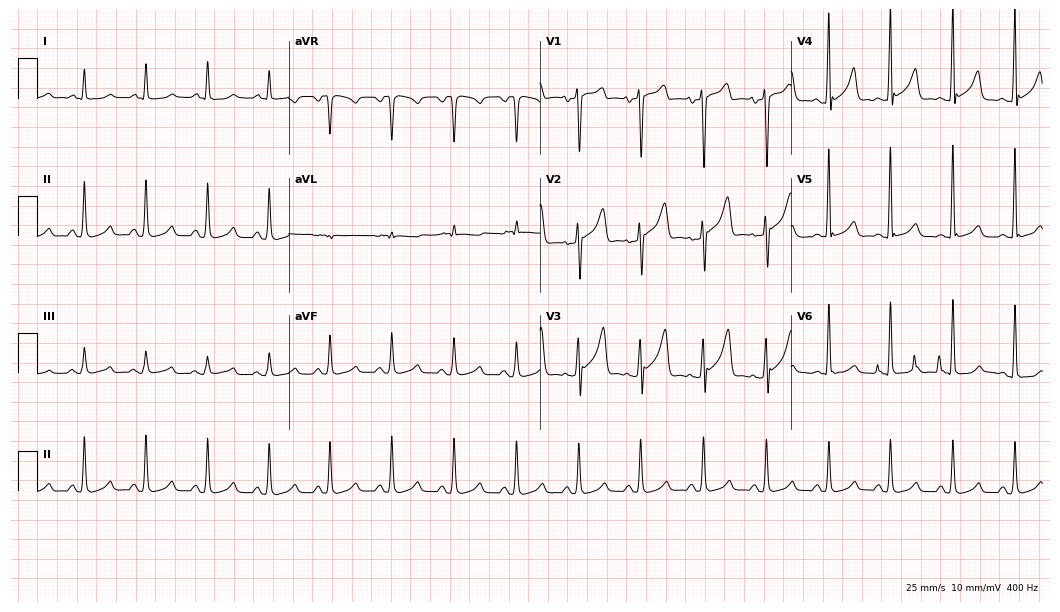
12-lead ECG from a 32-year-old male patient. Recorded interpretation: within normal limits.